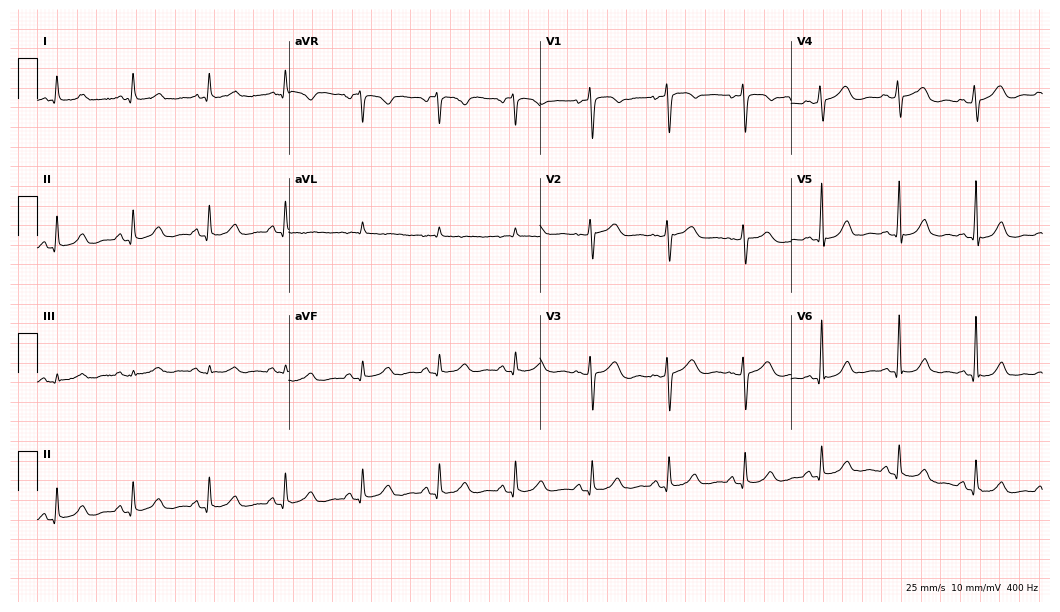
12-lead ECG from a 49-year-old woman (10.2-second recording at 400 Hz). Recorded interpretation: within normal limits.